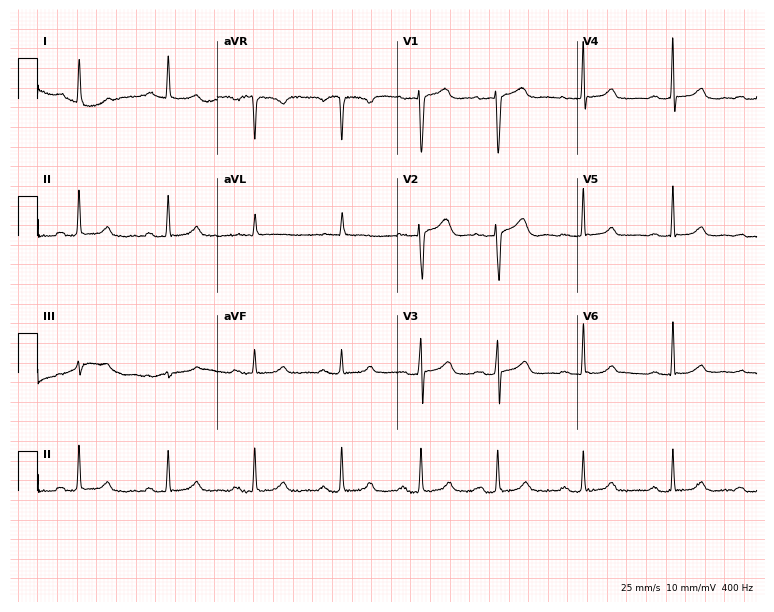
12-lead ECG from a 56-year-old woman. Screened for six findings — first-degree AV block, right bundle branch block (RBBB), left bundle branch block (LBBB), sinus bradycardia, atrial fibrillation (AF), sinus tachycardia — none is recorded. Only these six findings were labelled.